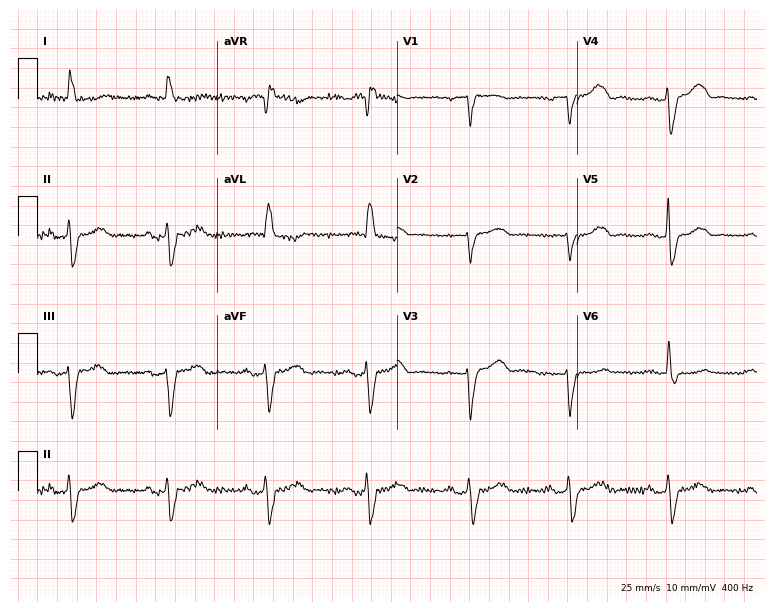
Standard 12-lead ECG recorded from a woman, 72 years old. The tracing shows left bundle branch block (LBBB).